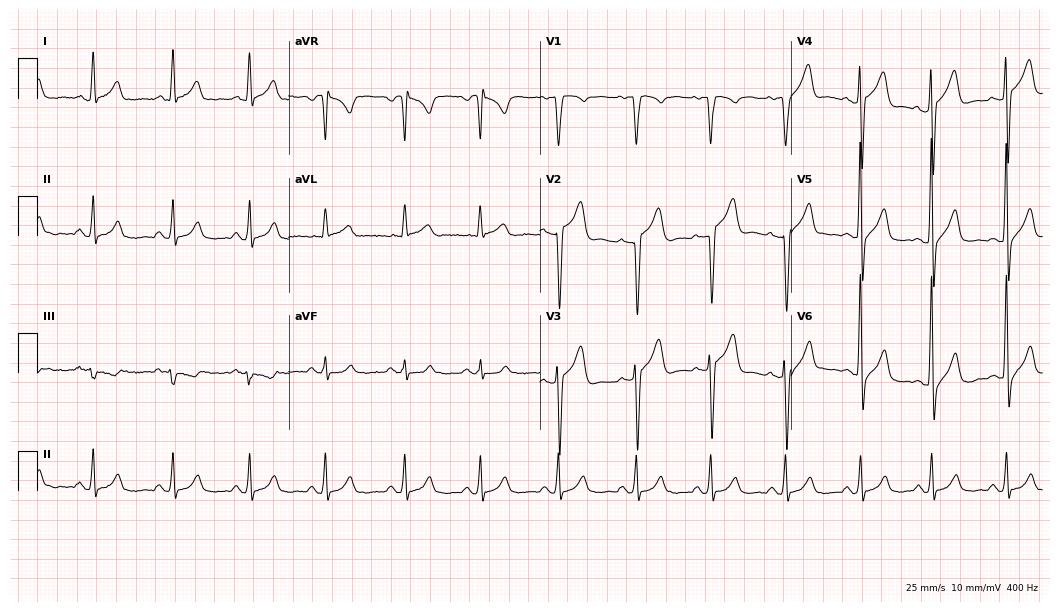
Electrocardiogram, a 38-year-old man. Of the six screened findings (first-degree AV block, right bundle branch block, left bundle branch block, sinus bradycardia, atrial fibrillation, sinus tachycardia), none is recorded. Only these six findings were labelled.